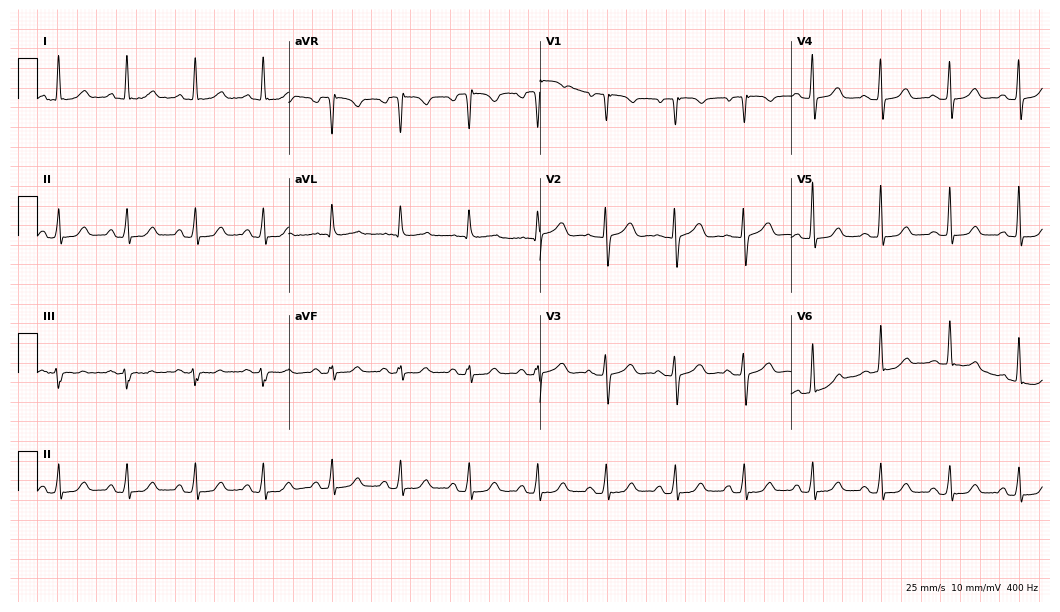
Standard 12-lead ECG recorded from a female, 85 years old (10.2-second recording at 400 Hz). Read as a normal ECG.